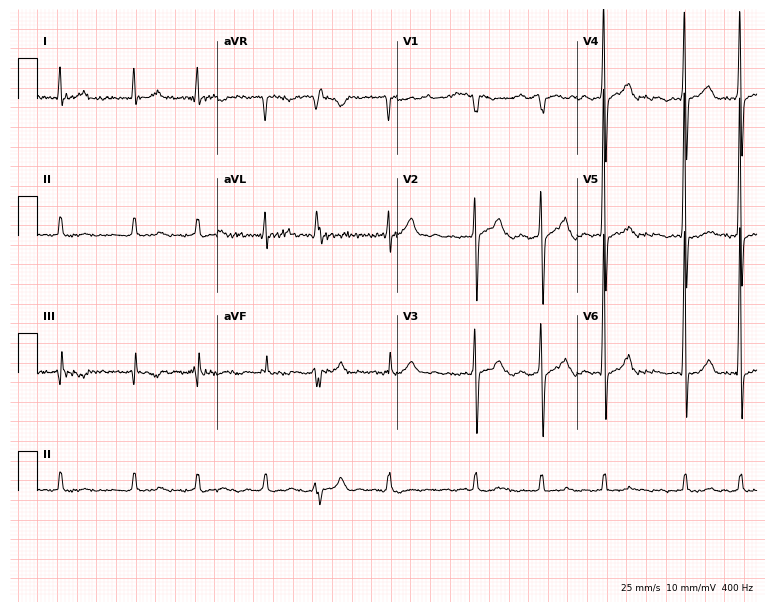
Standard 12-lead ECG recorded from an 82-year-old male patient (7.3-second recording at 400 Hz). None of these six findings is recorded: first-degree AV block, right bundle branch block, left bundle branch block, sinus bradycardia, atrial fibrillation, sinus tachycardia.